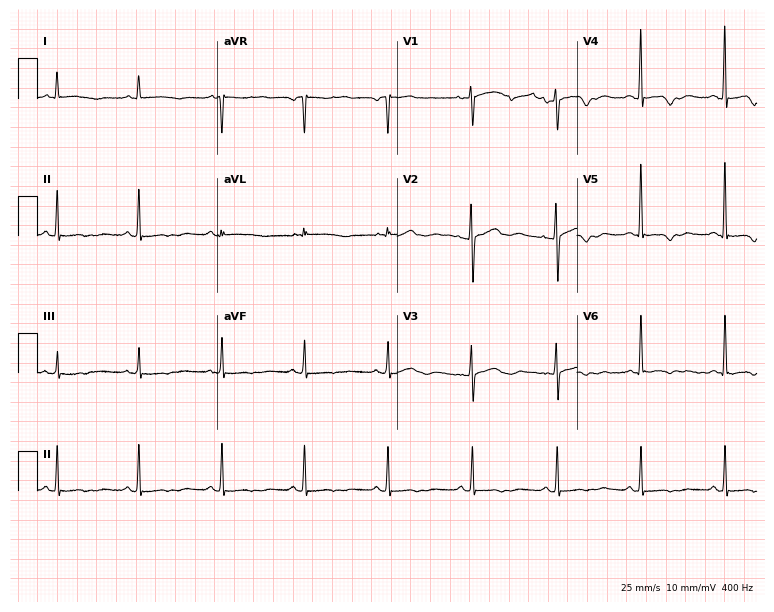
Electrocardiogram (7.3-second recording at 400 Hz), a 63-year-old female patient. Of the six screened findings (first-degree AV block, right bundle branch block, left bundle branch block, sinus bradycardia, atrial fibrillation, sinus tachycardia), none is recorded.